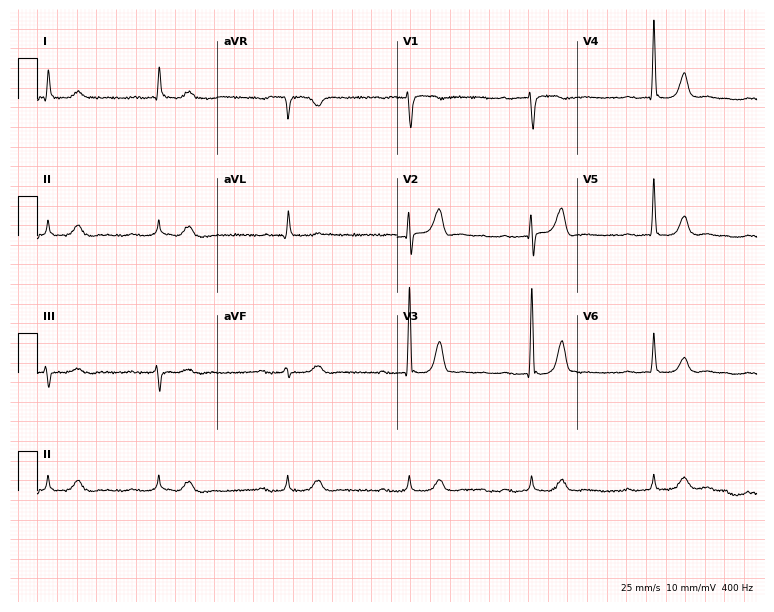
12-lead ECG (7.3-second recording at 400 Hz) from a 73-year-old male. Findings include first-degree AV block, sinus bradycardia (a sinus rate of 50 beats per minute or less).